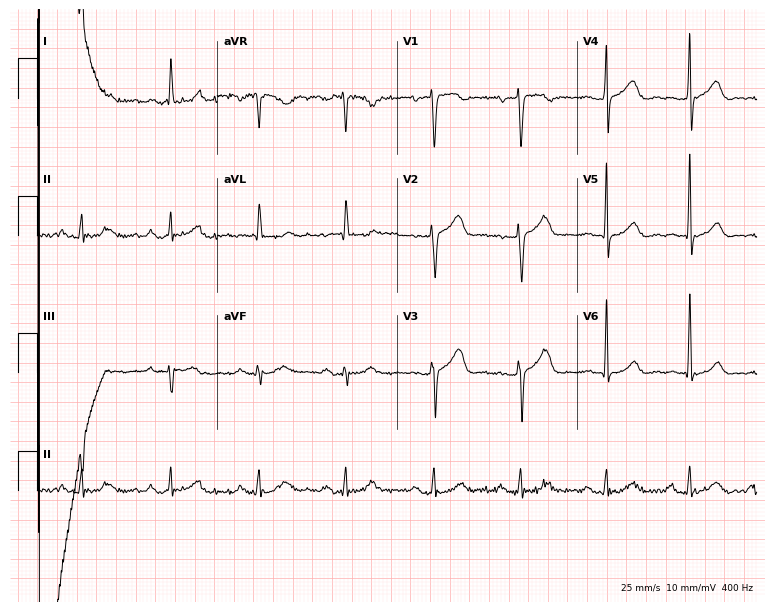
ECG — a female, 49 years old. Labelled as a normal ECG.